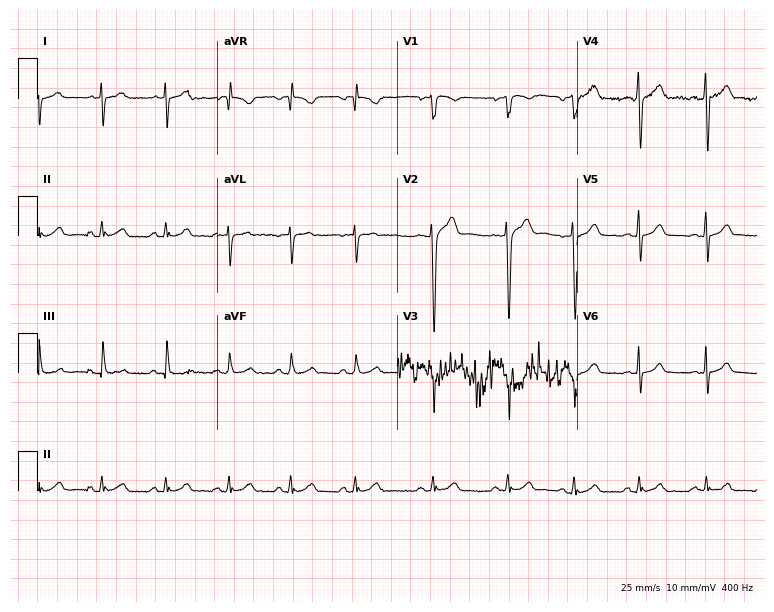
12-lead ECG from a 25-year-old male. Screened for six findings — first-degree AV block, right bundle branch block, left bundle branch block, sinus bradycardia, atrial fibrillation, sinus tachycardia — none is recorded.